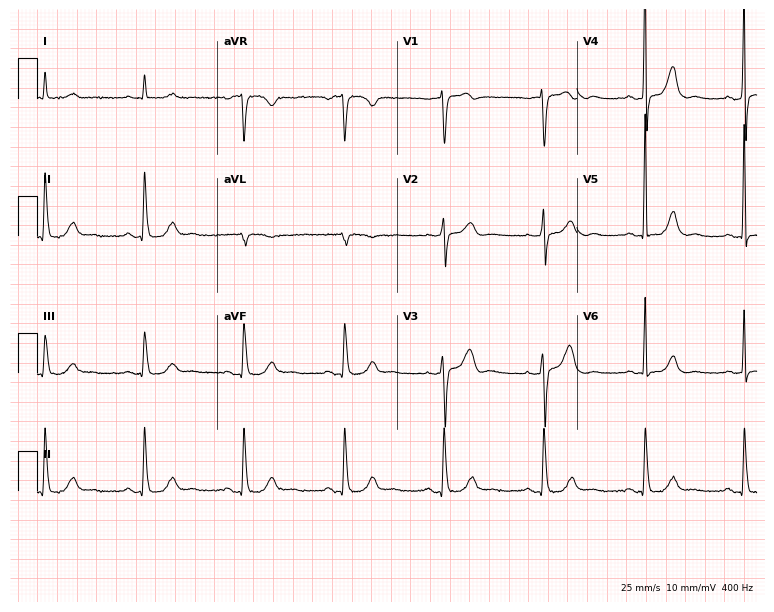
Resting 12-lead electrocardiogram. Patient: an 85-year-old male. None of these six findings is recorded: first-degree AV block, right bundle branch block (RBBB), left bundle branch block (LBBB), sinus bradycardia, atrial fibrillation (AF), sinus tachycardia.